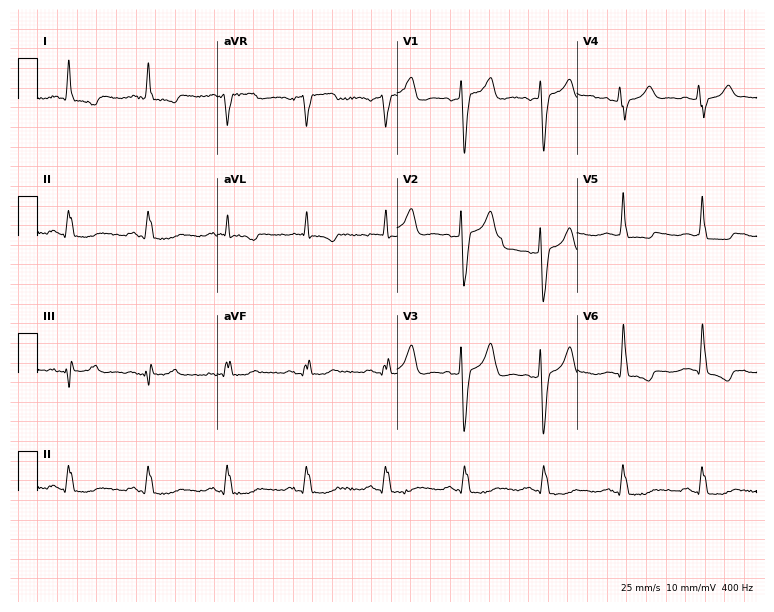
12-lead ECG from a man, 69 years old (7.3-second recording at 400 Hz). No first-degree AV block, right bundle branch block, left bundle branch block, sinus bradycardia, atrial fibrillation or sinus tachycardia recorded for this tracing. Other findings, if any, are not listed.